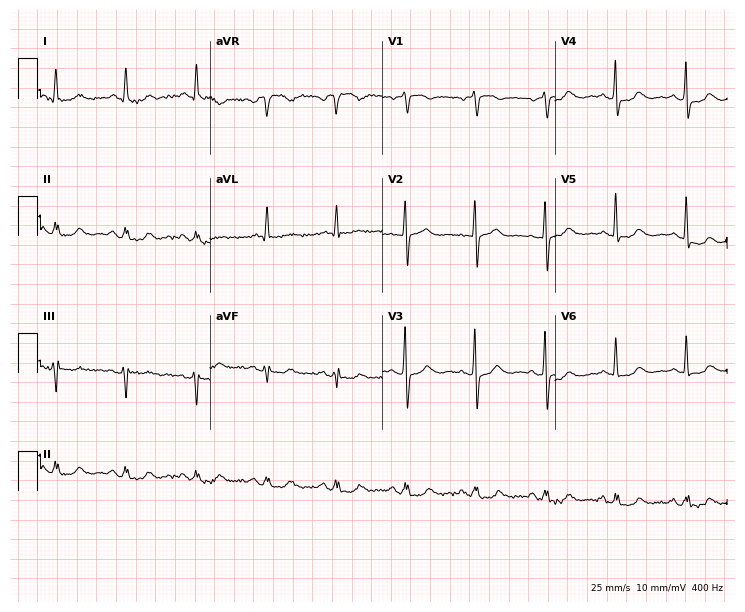
Electrocardiogram (7-second recording at 400 Hz), a woman, 70 years old. Of the six screened findings (first-degree AV block, right bundle branch block (RBBB), left bundle branch block (LBBB), sinus bradycardia, atrial fibrillation (AF), sinus tachycardia), none is recorded.